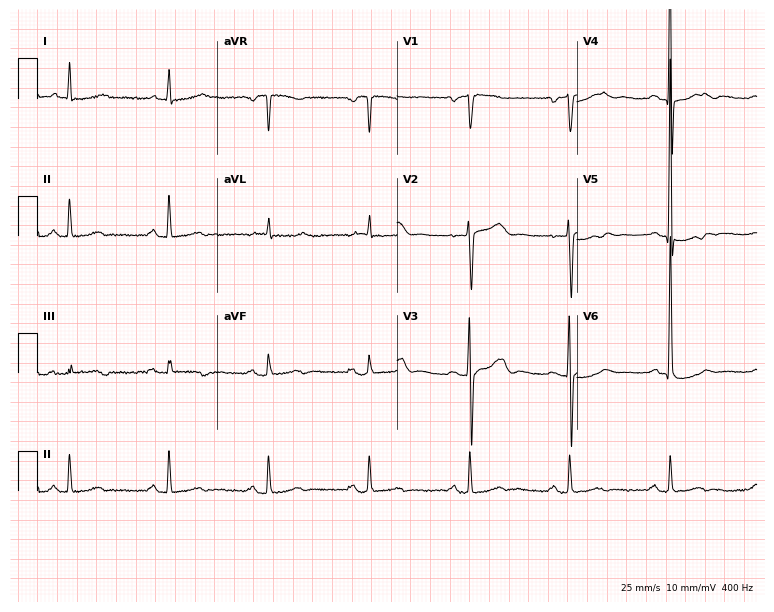
Resting 12-lead electrocardiogram (7.3-second recording at 400 Hz). Patient: a 79-year-old male. None of these six findings is recorded: first-degree AV block, right bundle branch block, left bundle branch block, sinus bradycardia, atrial fibrillation, sinus tachycardia. Other findings, if any, are not listed.